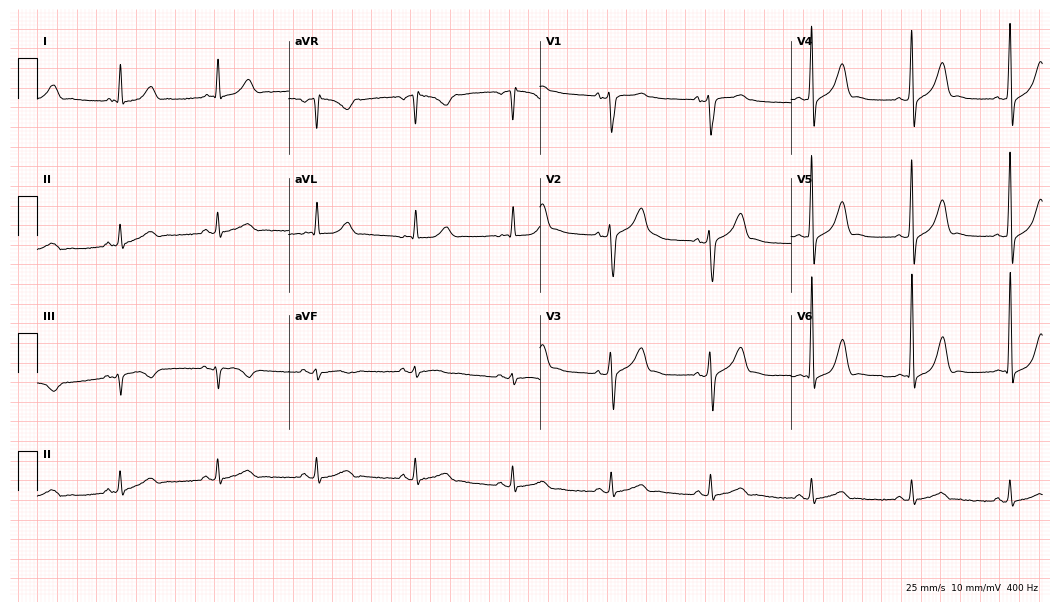
Electrocardiogram, a 67-year-old man. Overall reading on record: normal ECG.